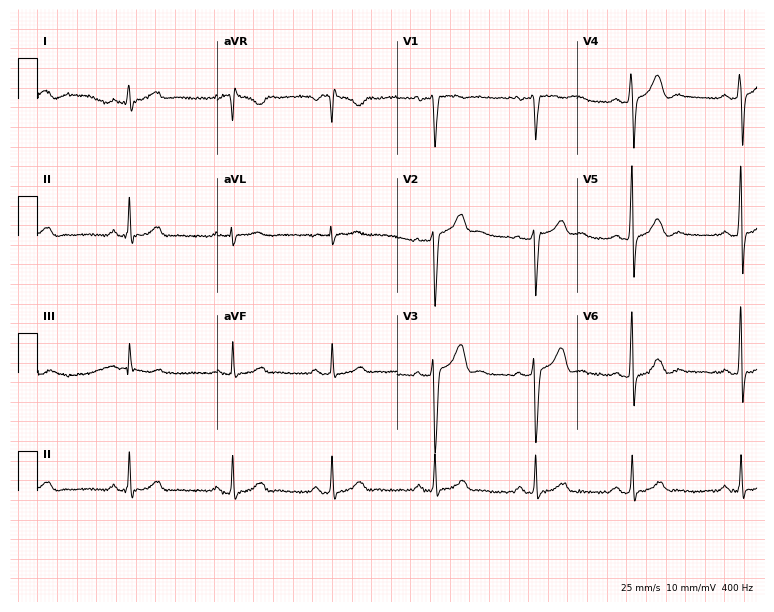
12-lead ECG (7.3-second recording at 400 Hz) from a male patient, 41 years old. Screened for six findings — first-degree AV block, right bundle branch block, left bundle branch block, sinus bradycardia, atrial fibrillation, sinus tachycardia — none is recorded.